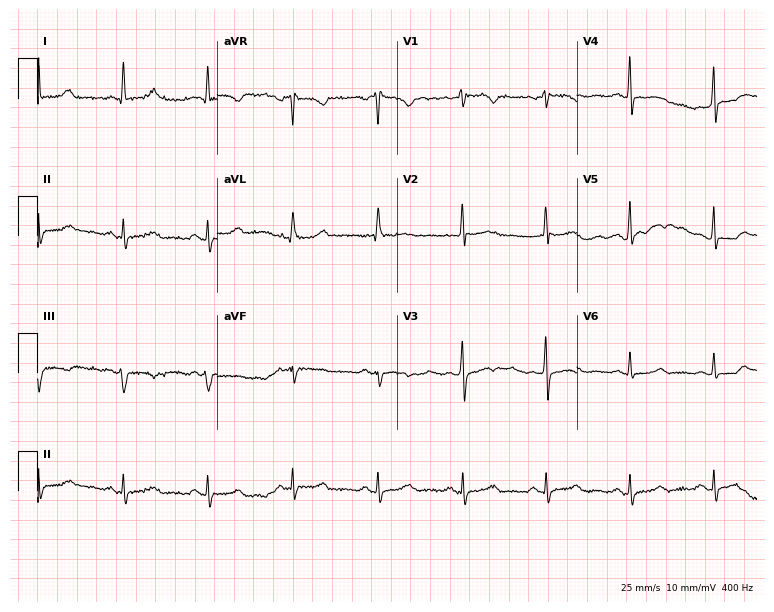
12-lead ECG from a female patient, 62 years old (7.3-second recording at 400 Hz). No first-degree AV block, right bundle branch block (RBBB), left bundle branch block (LBBB), sinus bradycardia, atrial fibrillation (AF) or sinus tachycardia recorded for this tracing. Findings outside these six are not listed.